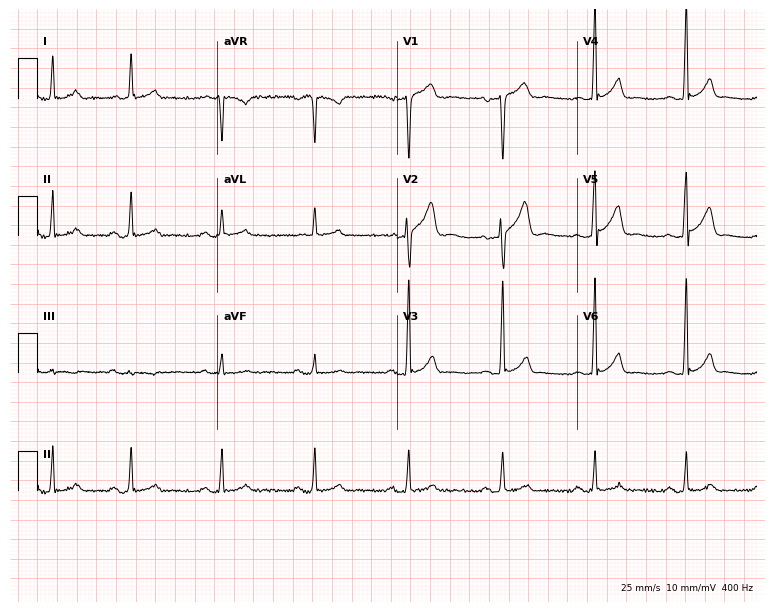
12-lead ECG from a male patient, 58 years old. Screened for six findings — first-degree AV block, right bundle branch block (RBBB), left bundle branch block (LBBB), sinus bradycardia, atrial fibrillation (AF), sinus tachycardia — none is recorded.